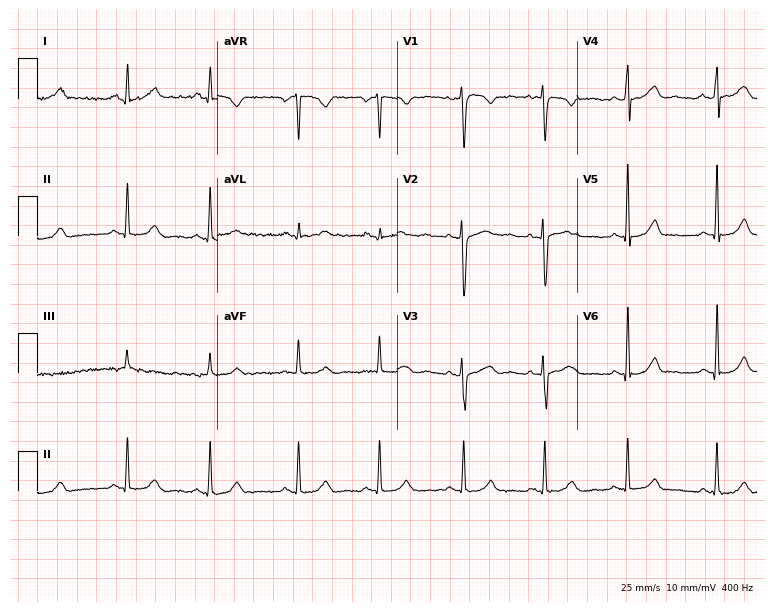
ECG — a female, 40 years old. Screened for six findings — first-degree AV block, right bundle branch block, left bundle branch block, sinus bradycardia, atrial fibrillation, sinus tachycardia — none is recorded. Other findings, if any, are not listed.